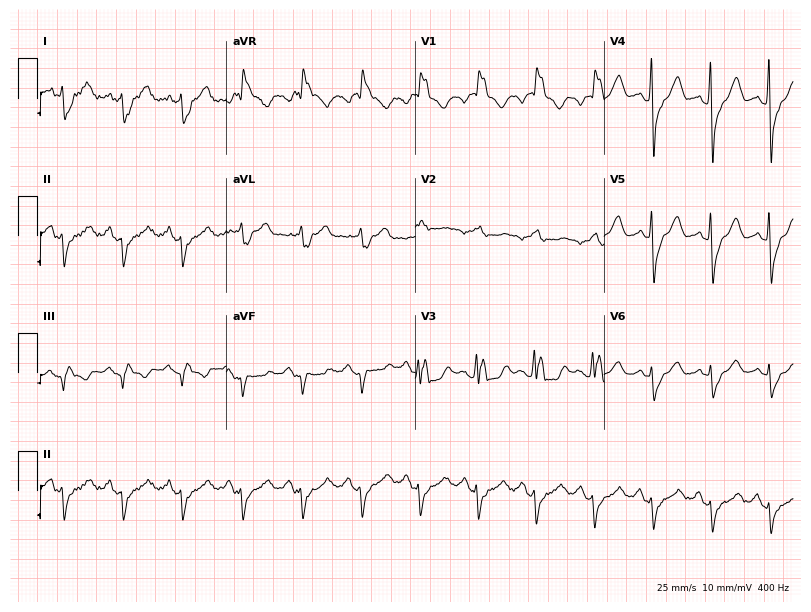
Standard 12-lead ECG recorded from a female patient, 71 years old. The tracing shows right bundle branch block, sinus tachycardia (a sinus rate of 100 beats per minute or more).